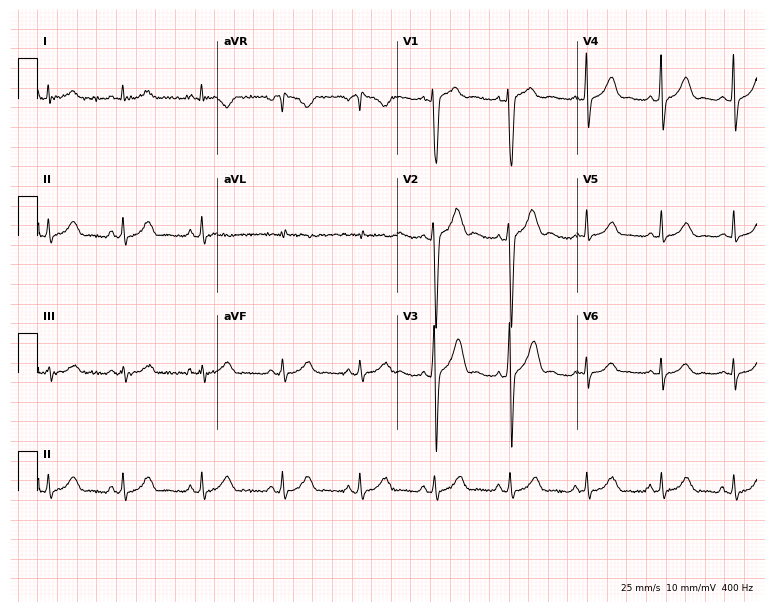
12-lead ECG from a man, 25 years old (7.3-second recording at 400 Hz). Recorded interpretation: within normal limits.